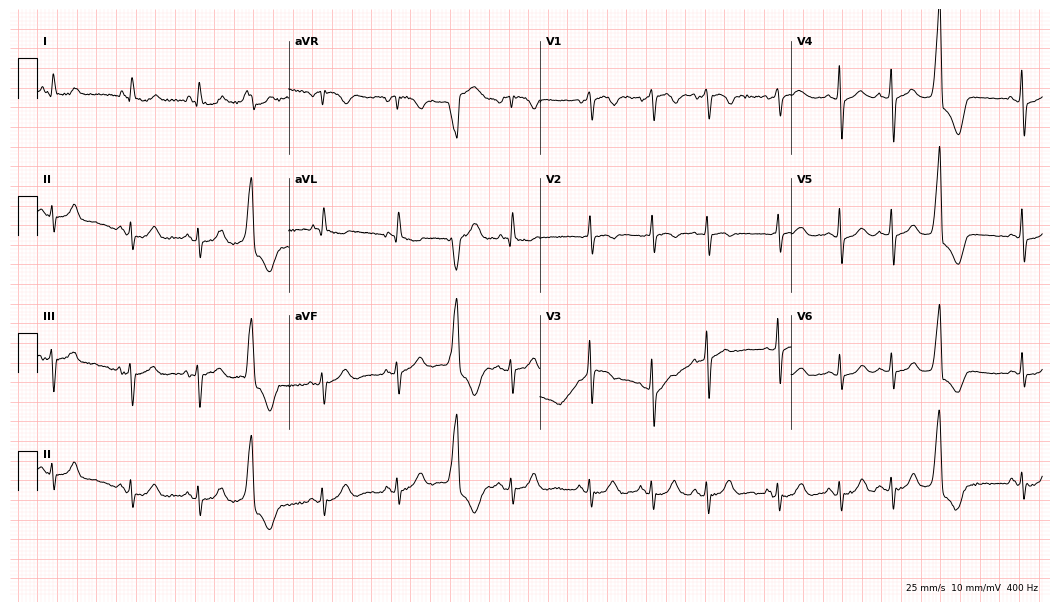
Electrocardiogram (10.2-second recording at 400 Hz), a female, 84 years old. Of the six screened findings (first-degree AV block, right bundle branch block, left bundle branch block, sinus bradycardia, atrial fibrillation, sinus tachycardia), none is recorded.